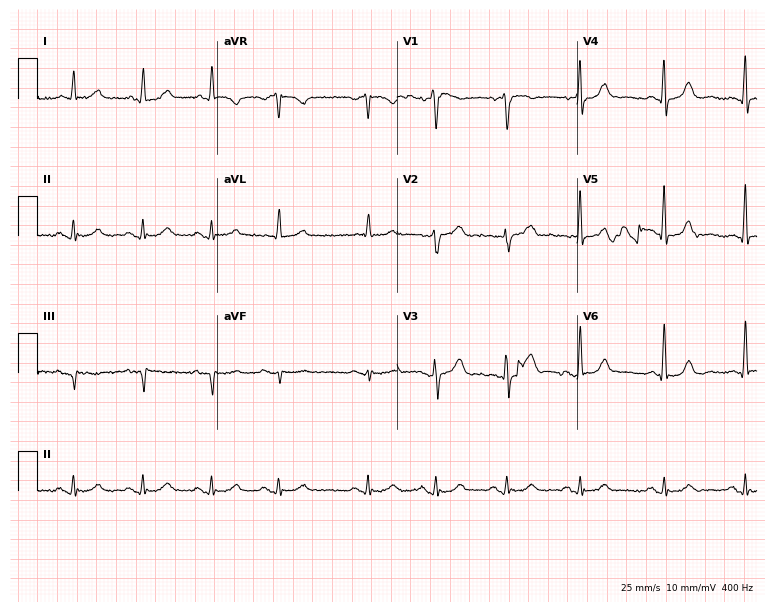
Resting 12-lead electrocardiogram (7.3-second recording at 400 Hz). Patient: a male, 77 years old. None of these six findings is recorded: first-degree AV block, right bundle branch block (RBBB), left bundle branch block (LBBB), sinus bradycardia, atrial fibrillation (AF), sinus tachycardia. Findings outside these six are not listed.